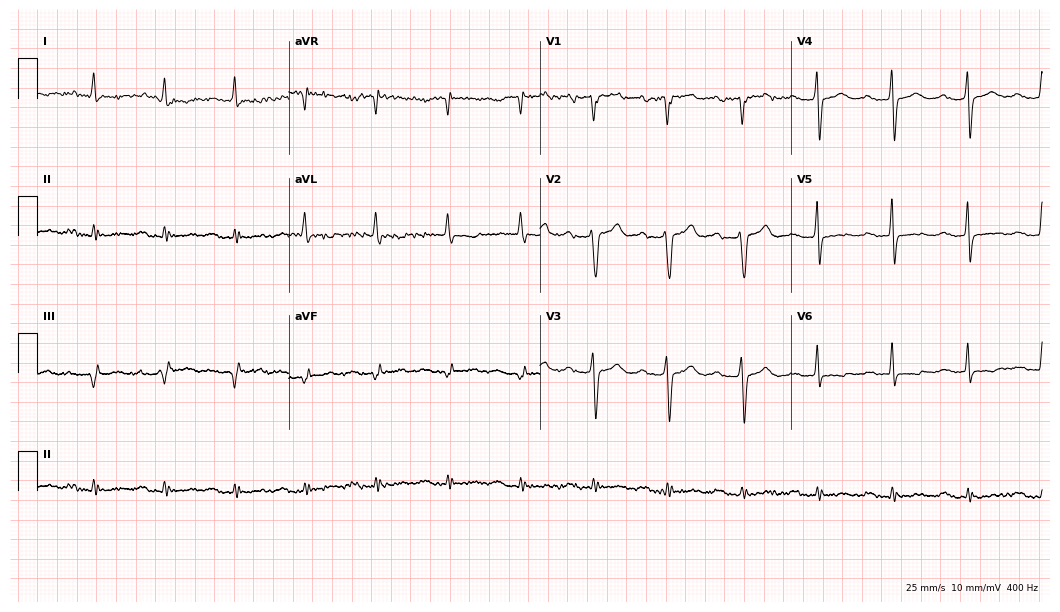
12-lead ECG from a 74-year-old man. Findings include first-degree AV block.